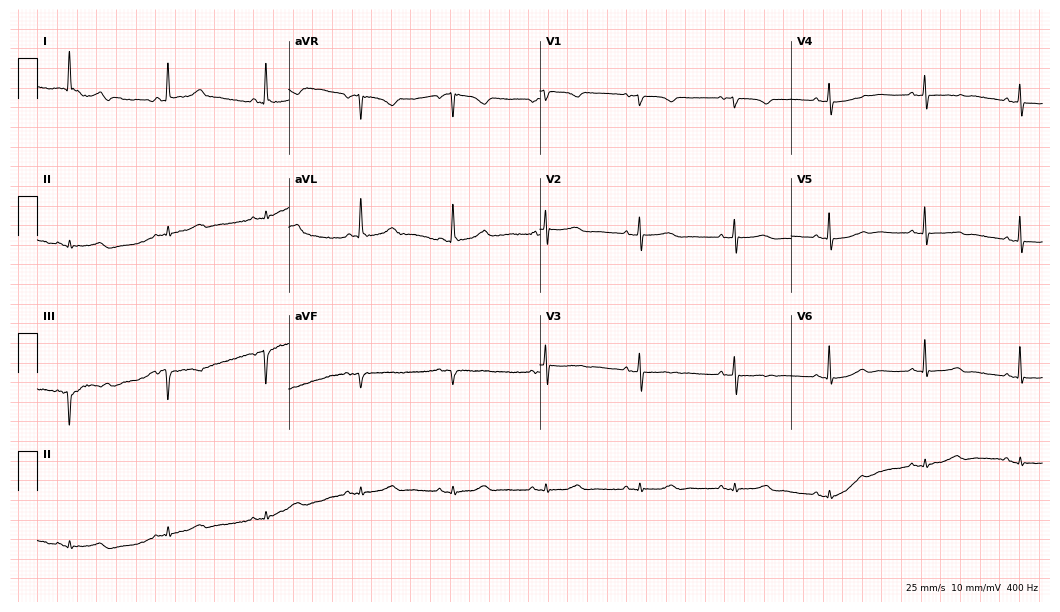
ECG — a female, 71 years old. Screened for six findings — first-degree AV block, right bundle branch block, left bundle branch block, sinus bradycardia, atrial fibrillation, sinus tachycardia — none is recorded. Only these six findings were labelled.